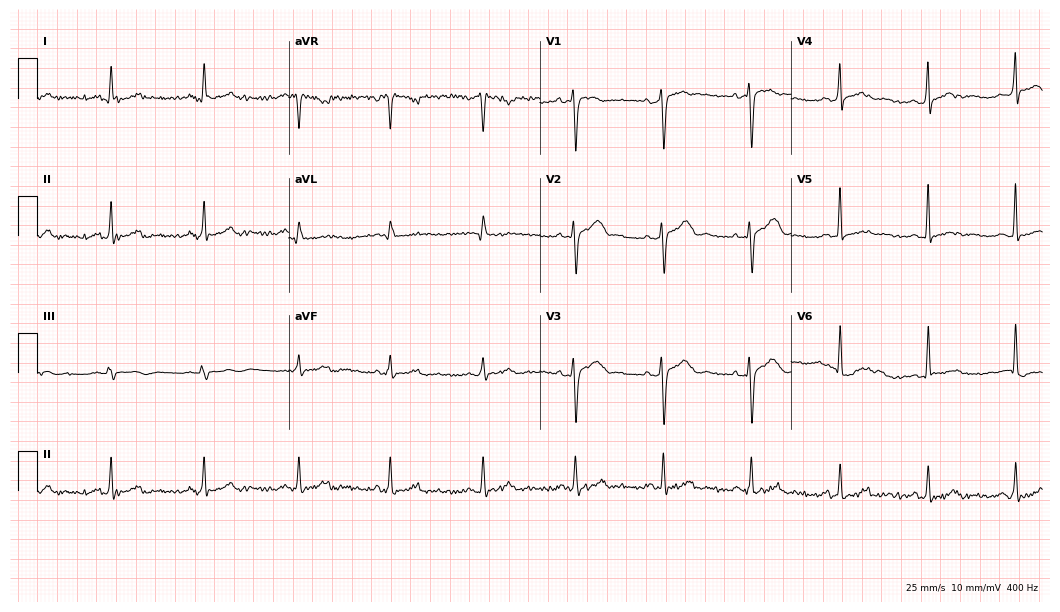
12-lead ECG from a female, 43 years old. Labelled as a normal ECG.